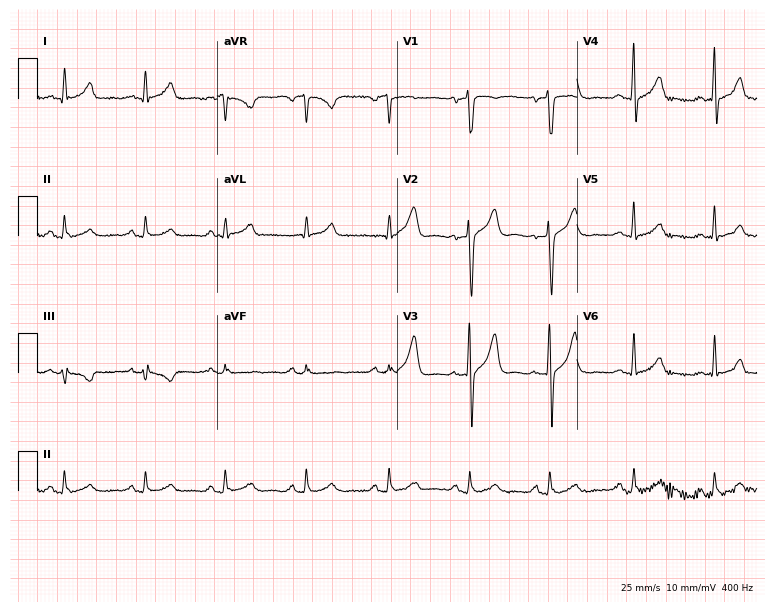
12-lead ECG (7.3-second recording at 400 Hz) from a 44-year-old male. Labelled as a normal ECG.